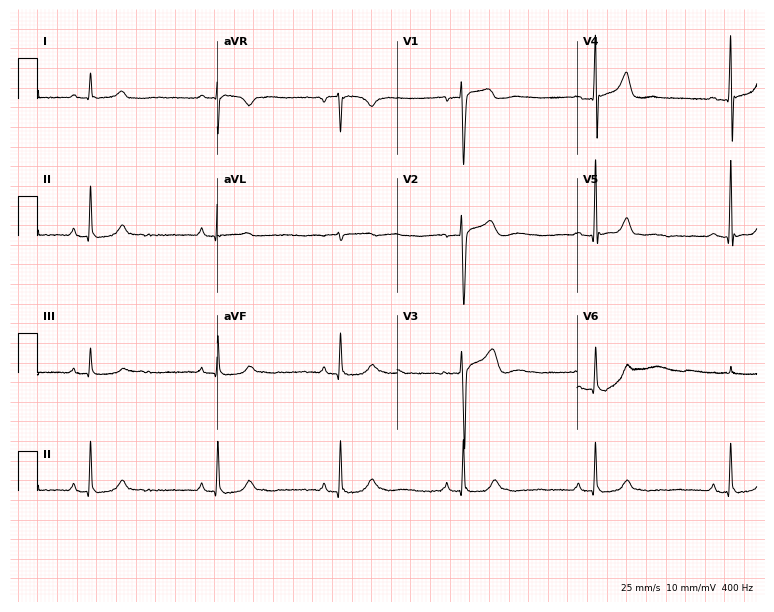
12-lead ECG (7.3-second recording at 400 Hz) from a male, 46 years old. Findings include sinus bradycardia (a sinus rate of 50 beats per minute or less).